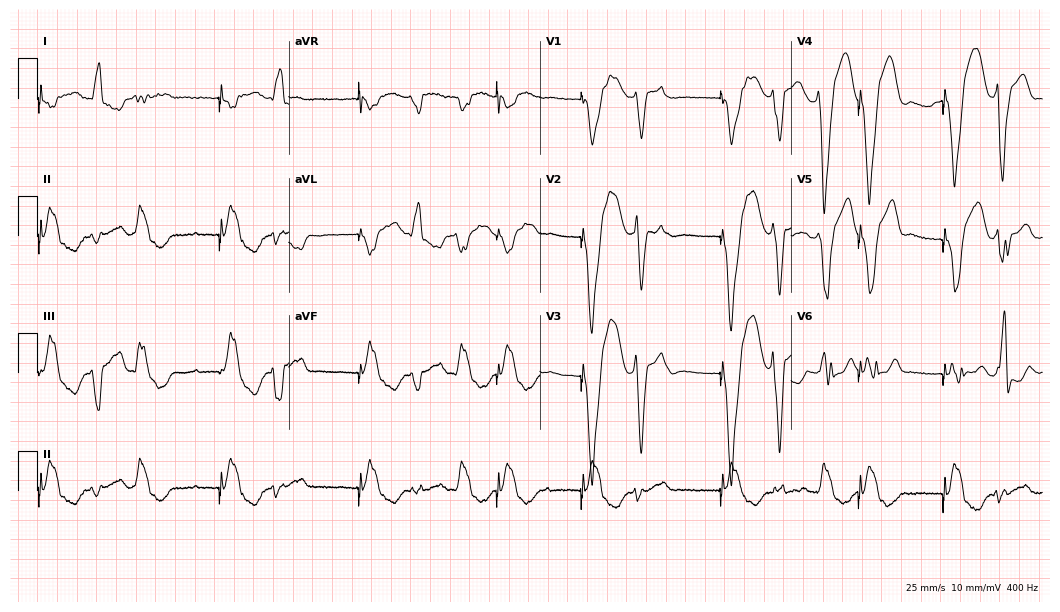
Standard 12-lead ECG recorded from a man, 84 years old (10.2-second recording at 400 Hz). None of these six findings is recorded: first-degree AV block, right bundle branch block, left bundle branch block, sinus bradycardia, atrial fibrillation, sinus tachycardia.